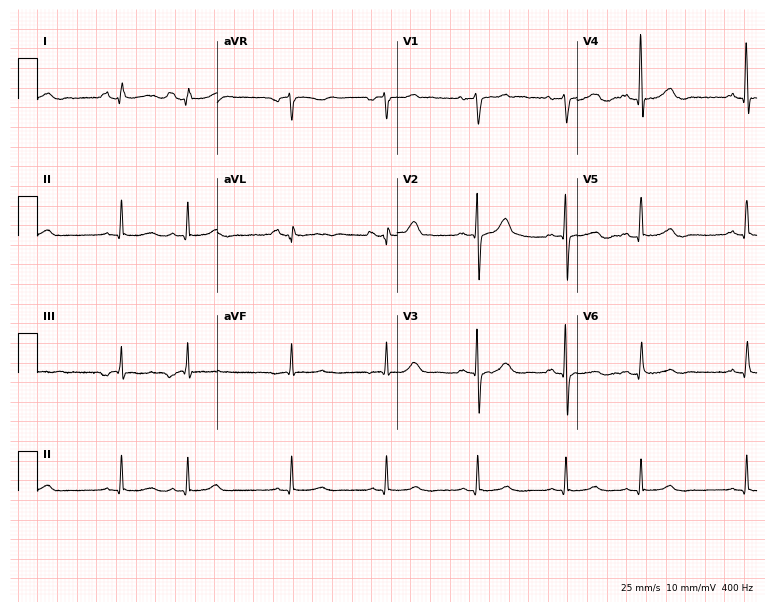
Standard 12-lead ECG recorded from a male, 82 years old (7.3-second recording at 400 Hz). None of these six findings is recorded: first-degree AV block, right bundle branch block, left bundle branch block, sinus bradycardia, atrial fibrillation, sinus tachycardia.